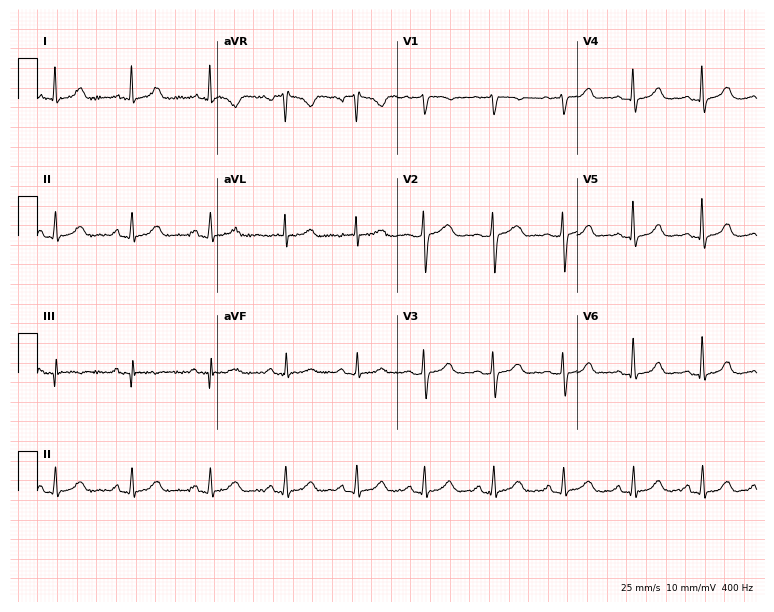
Electrocardiogram, a female, 47 years old. Overall reading on record: normal ECG.